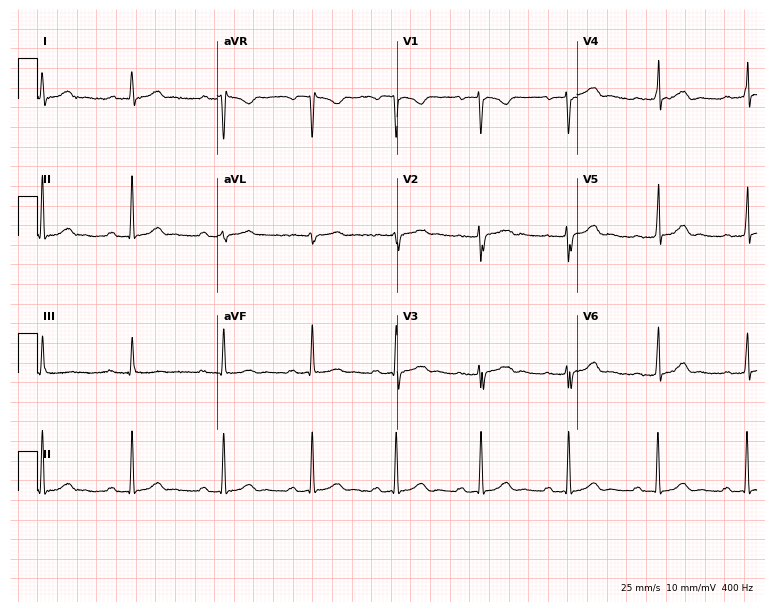
ECG (7.3-second recording at 400 Hz) — a female patient, 43 years old. Findings include first-degree AV block.